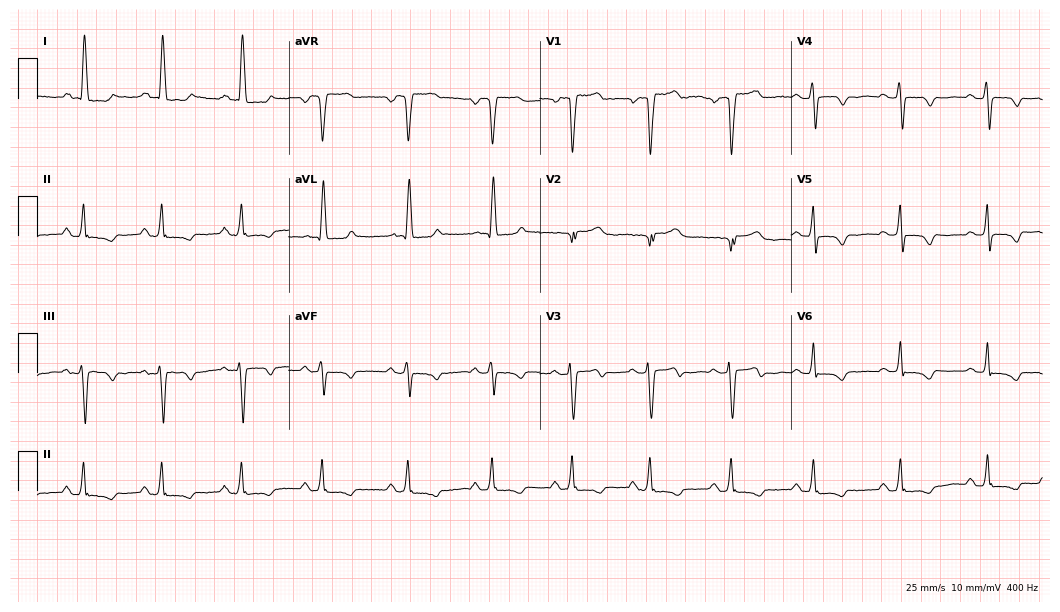
12-lead ECG from a female patient, 57 years old (10.2-second recording at 400 Hz). No first-degree AV block, right bundle branch block, left bundle branch block, sinus bradycardia, atrial fibrillation or sinus tachycardia recorded for this tracing.